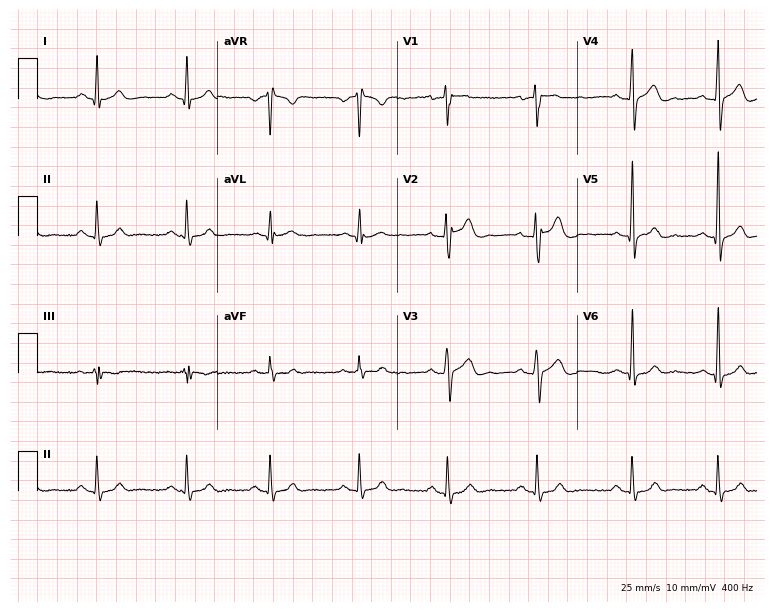
12-lead ECG from a man, 24 years old (7.3-second recording at 400 Hz). Recorded interpretation: within normal limits.